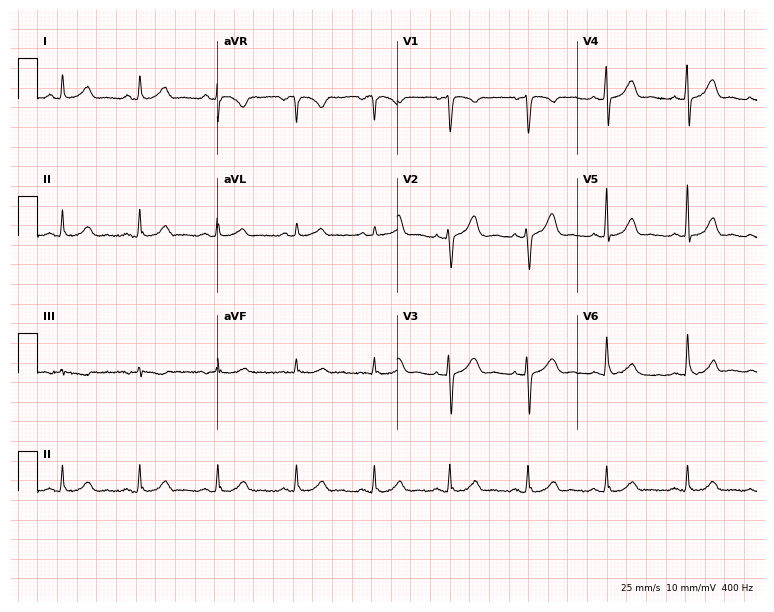
Standard 12-lead ECG recorded from a 41-year-old female. Read as a normal ECG.